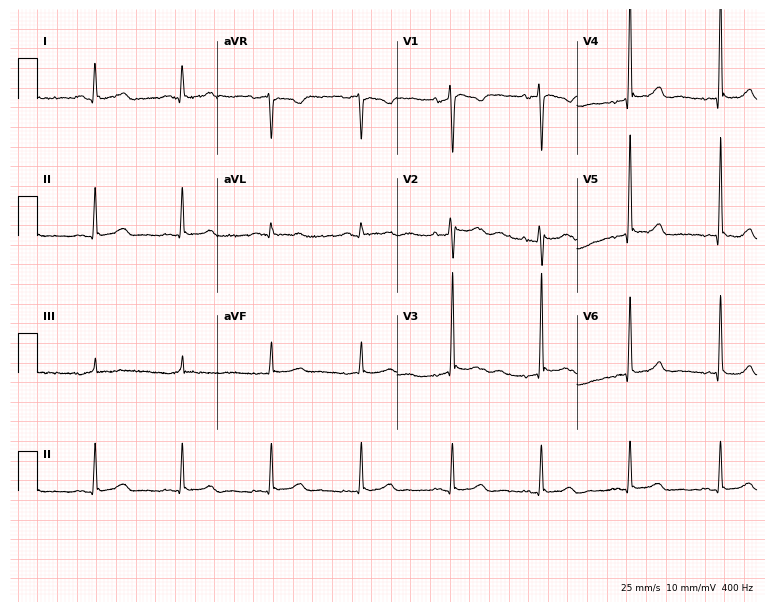
12-lead ECG from a 53-year-old female patient. Screened for six findings — first-degree AV block, right bundle branch block, left bundle branch block, sinus bradycardia, atrial fibrillation, sinus tachycardia — none is recorded. Only these six findings were labelled.